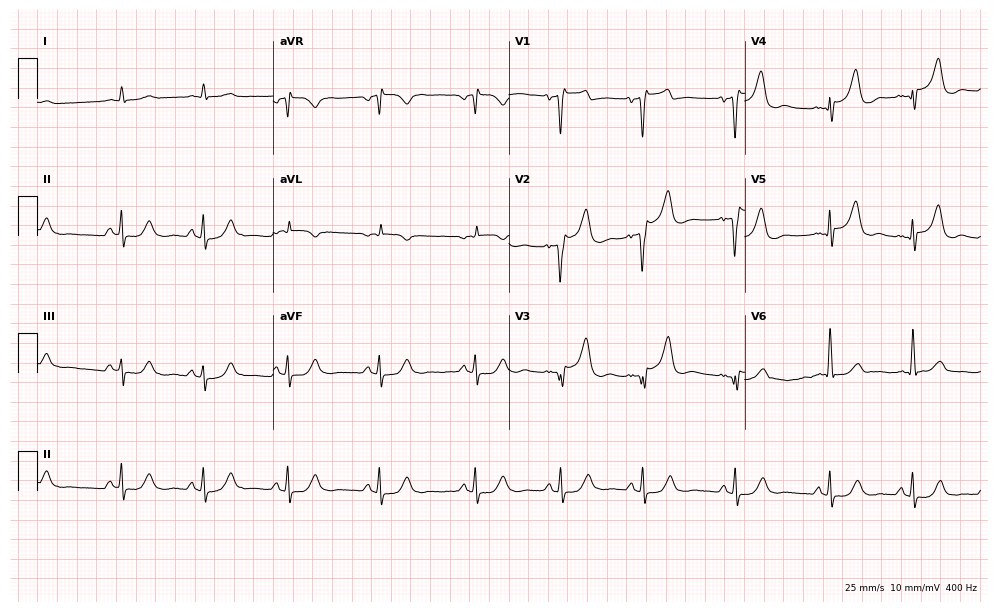
ECG — a male, 70 years old. Screened for six findings — first-degree AV block, right bundle branch block (RBBB), left bundle branch block (LBBB), sinus bradycardia, atrial fibrillation (AF), sinus tachycardia — none is recorded.